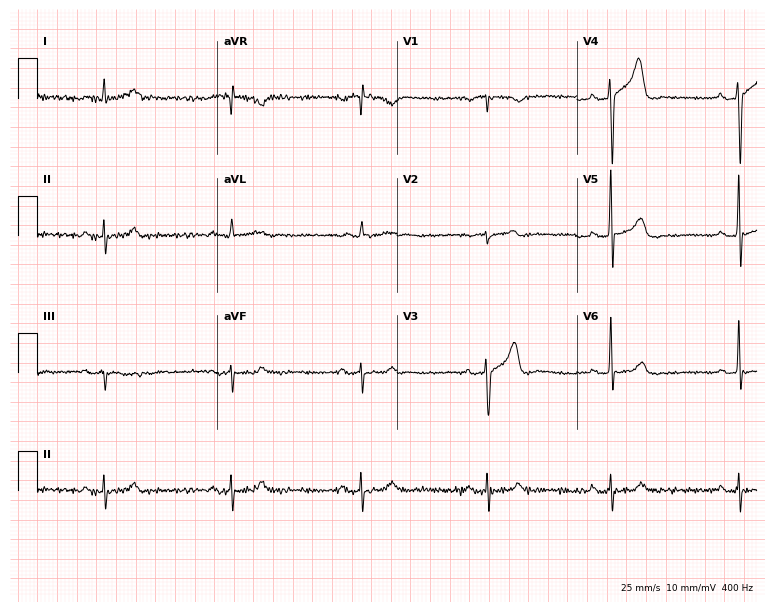
12-lead ECG from a 66-year-old man. No first-degree AV block, right bundle branch block, left bundle branch block, sinus bradycardia, atrial fibrillation or sinus tachycardia recorded for this tracing. Other findings, if any, are not listed.